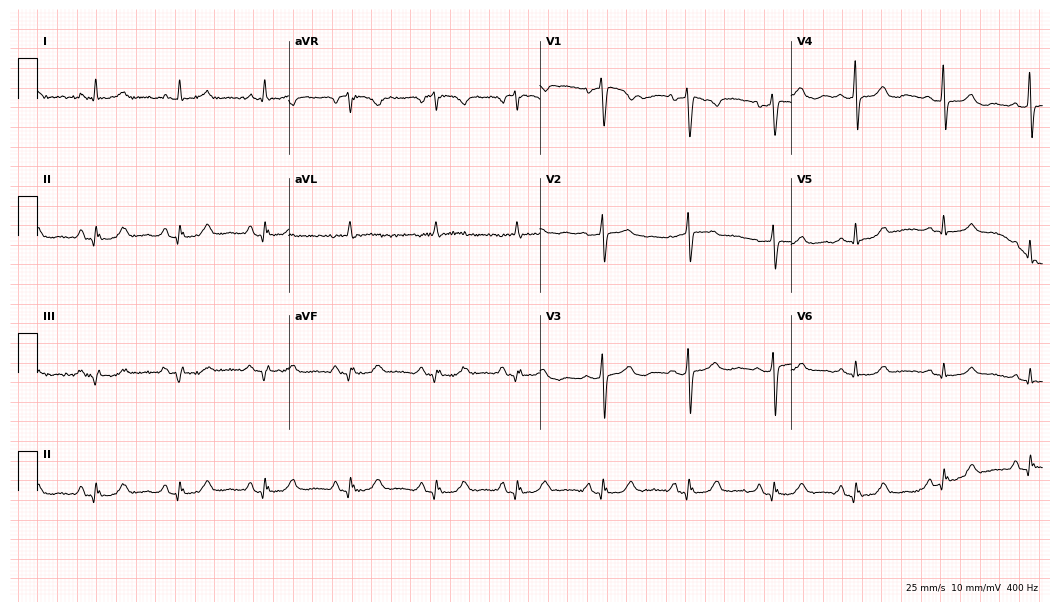
Electrocardiogram, a 63-year-old female. Of the six screened findings (first-degree AV block, right bundle branch block (RBBB), left bundle branch block (LBBB), sinus bradycardia, atrial fibrillation (AF), sinus tachycardia), none is recorded. Only these six findings were labelled.